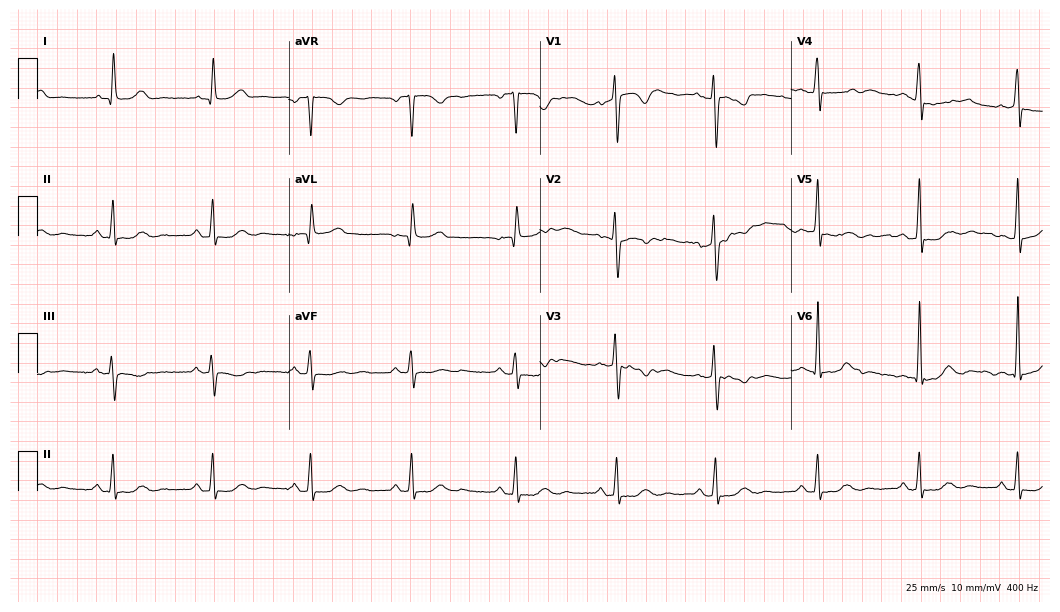
Standard 12-lead ECG recorded from a woman, 61 years old. None of these six findings is recorded: first-degree AV block, right bundle branch block, left bundle branch block, sinus bradycardia, atrial fibrillation, sinus tachycardia.